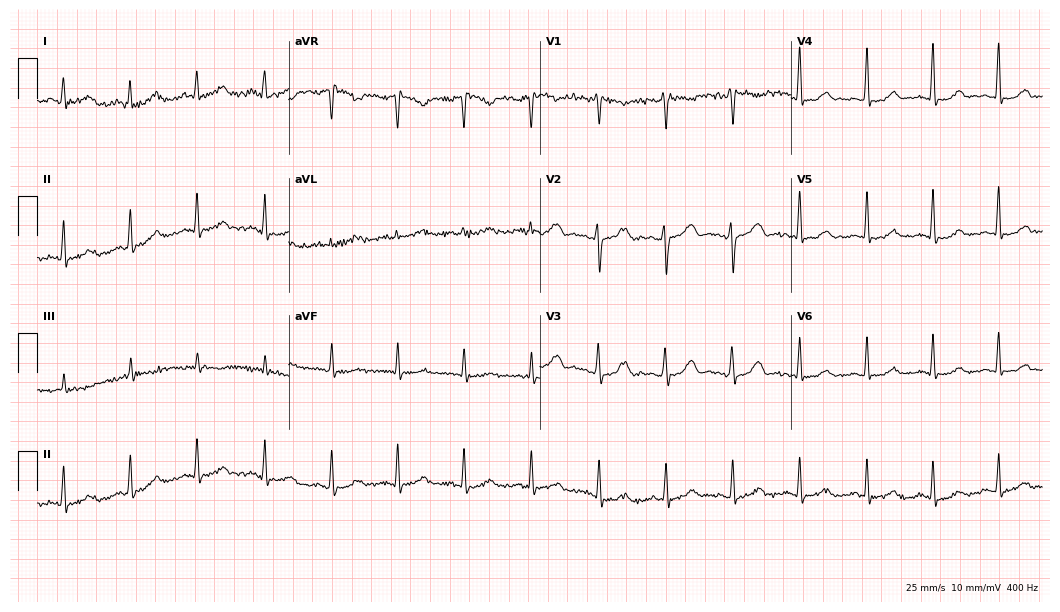
Resting 12-lead electrocardiogram. Patient: a 43-year-old female. Read as a normal ECG.